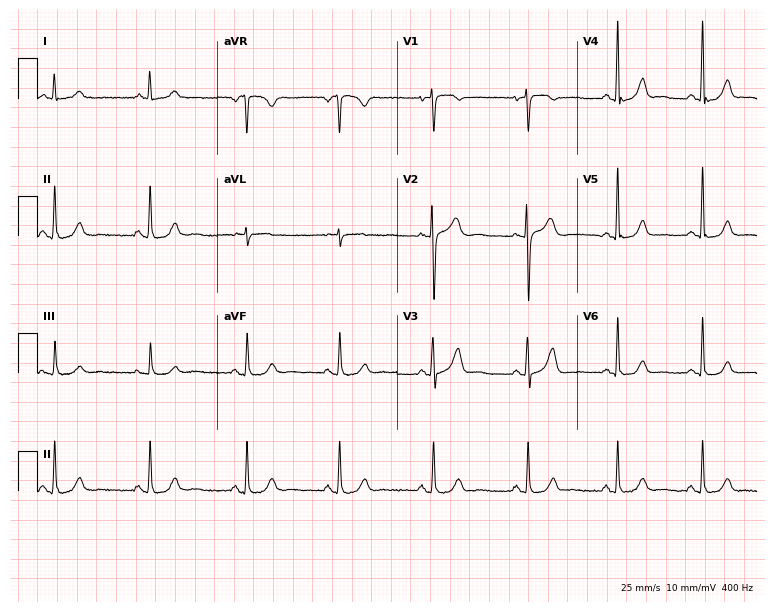
Electrocardiogram (7.3-second recording at 400 Hz), a 46-year-old woman. Overall reading on record: normal ECG.